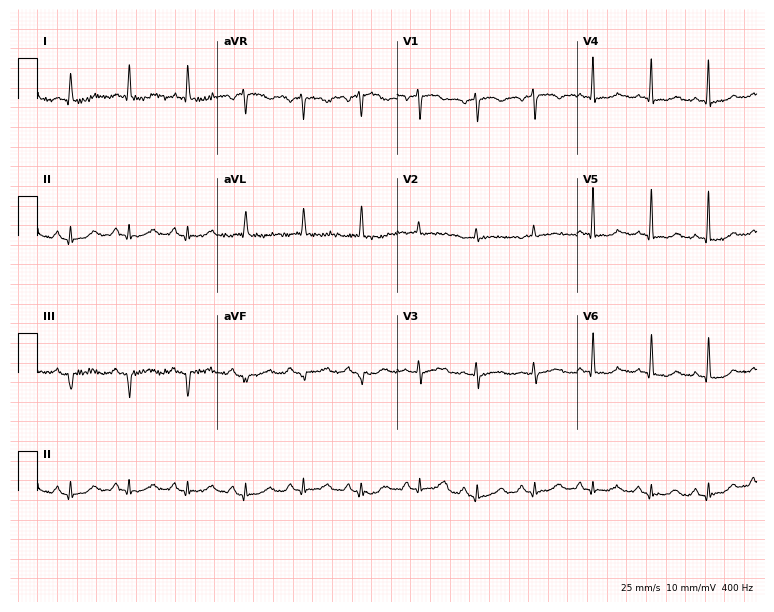
ECG — a 63-year-old female. Screened for six findings — first-degree AV block, right bundle branch block (RBBB), left bundle branch block (LBBB), sinus bradycardia, atrial fibrillation (AF), sinus tachycardia — none is recorded. Other findings, if any, are not listed.